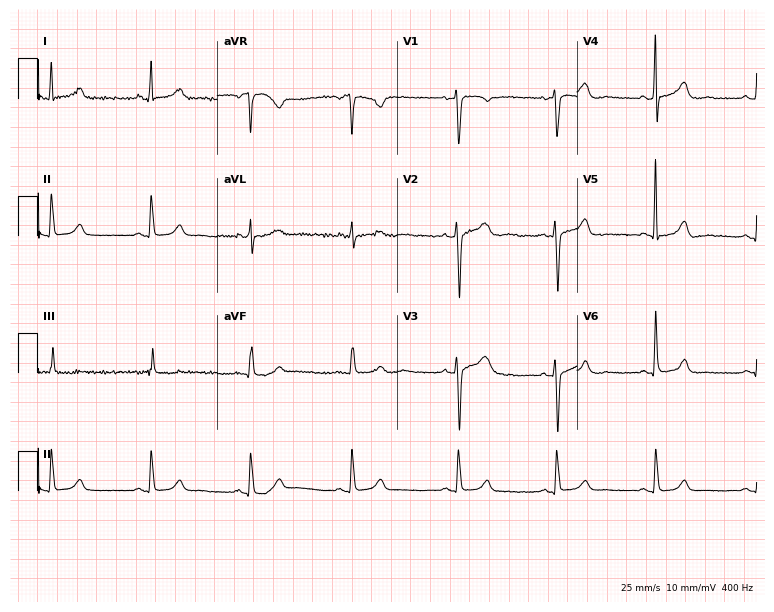
Standard 12-lead ECG recorded from a 37-year-old female. None of these six findings is recorded: first-degree AV block, right bundle branch block (RBBB), left bundle branch block (LBBB), sinus bradycardia, atrial fibrillation (AF), sinus tachycardia.